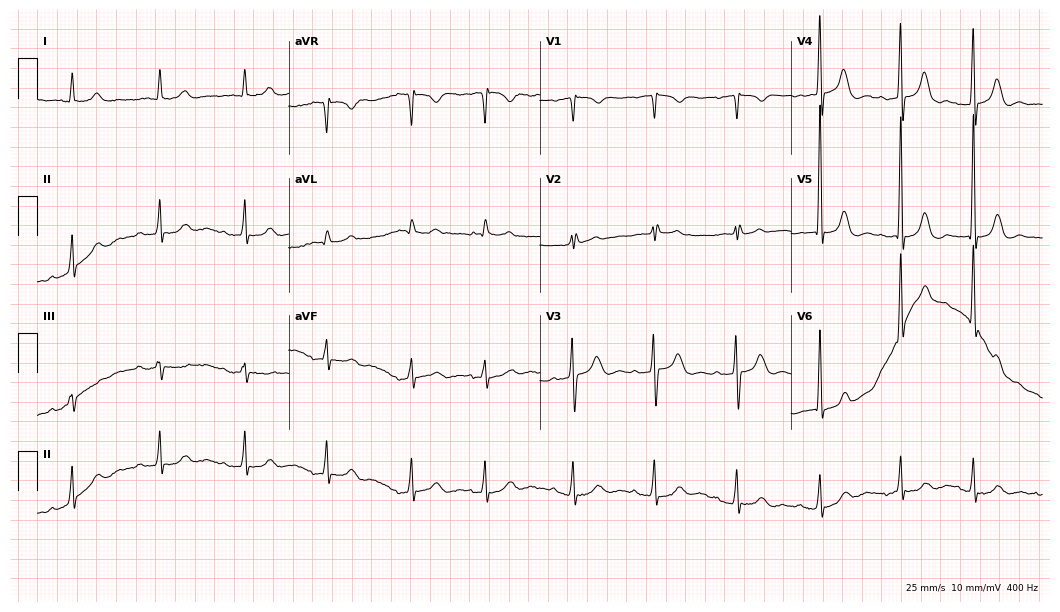
12-lead ECG from a 69-year-old woman (10.2-second recording at 400 Hz). Recorded interpretation: within normal limits.